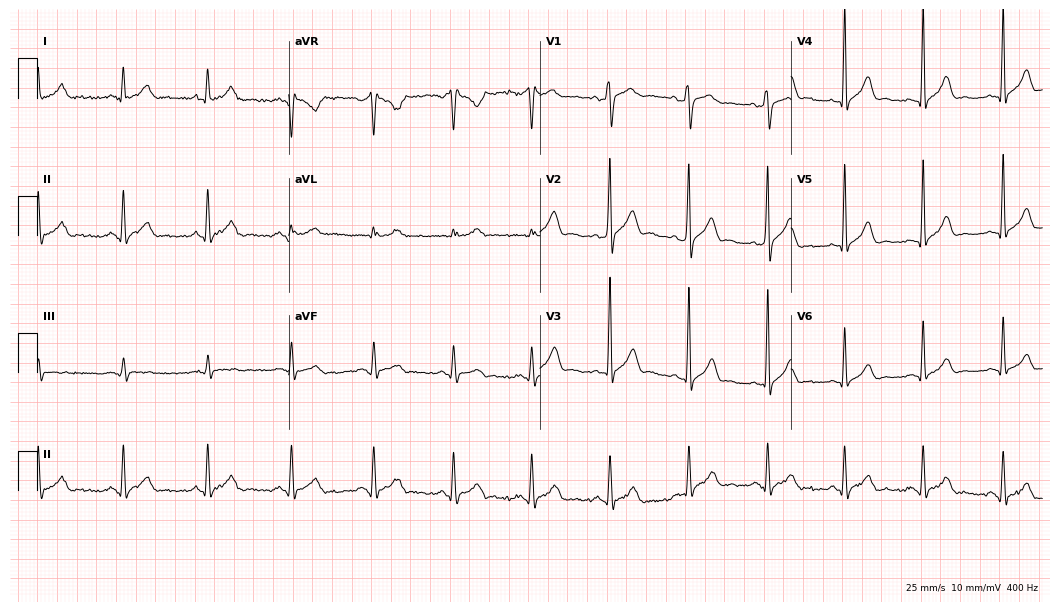
Standard 12-lead ECG recorded from a male, 47 years old. None of these six findings is recorded: first-degree AV block, right bundle branch block, left bundle branch block, sinus bradycardia, atrial fibrillation, sinus tachycardia.